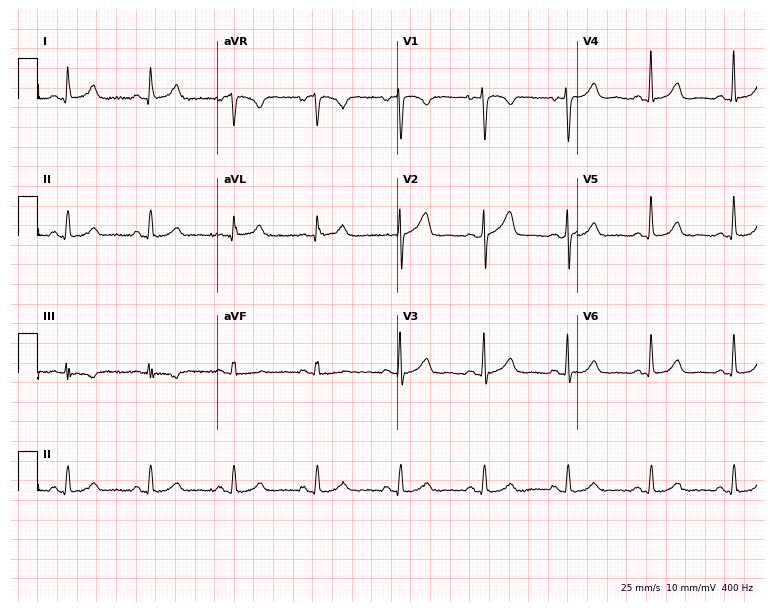
12-lead ECG from a 61-year-old female. Screened for six findings — first-degree AV block, right bundle branch block, left bundle branch block, sinus bradycardia, atrial fibrillation, sinus tachycardia — none is recorded.